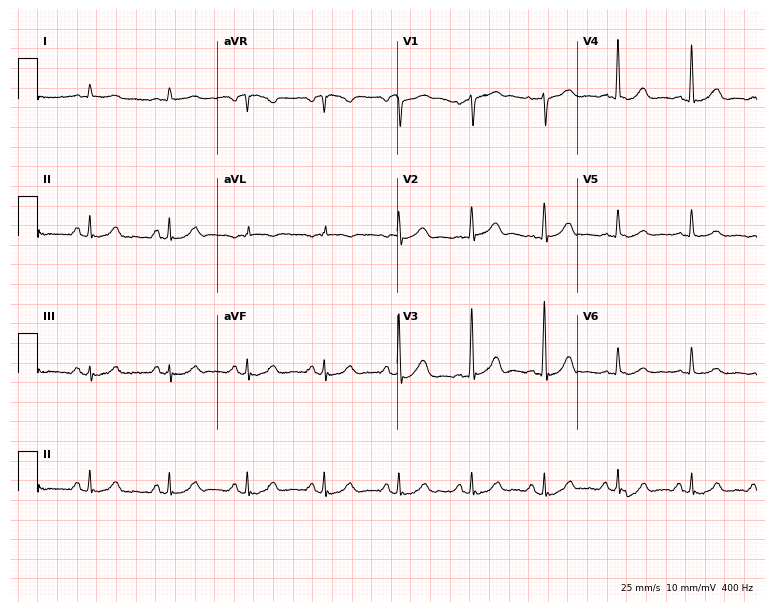
Electrocardiogram, a 64-year-old male. Of the six screened findings (first-degree AV block, right bundle branch block, left bundle branch block, sinus bradycardia, atrial fibrillation, sinus tachycardia), none is recorded.